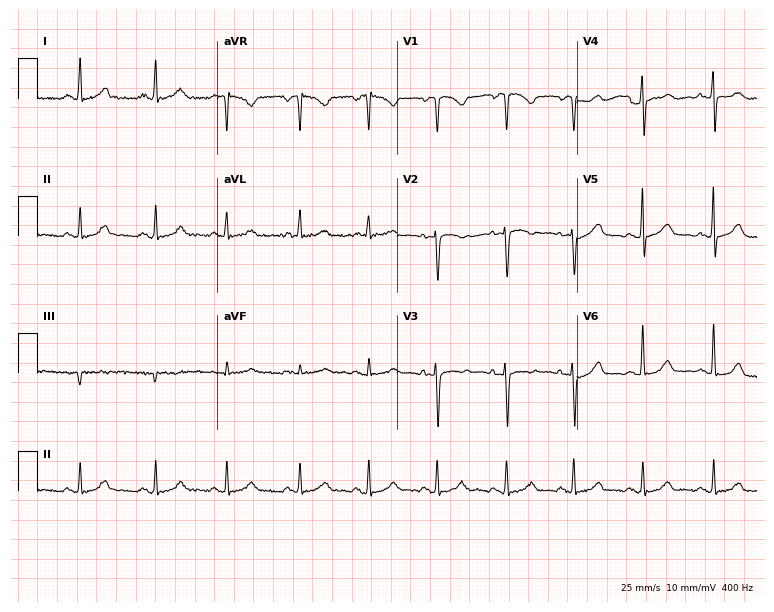
Standard 12-lead ECG recorded from a 51-year-old woman. Read as a normal ECG.